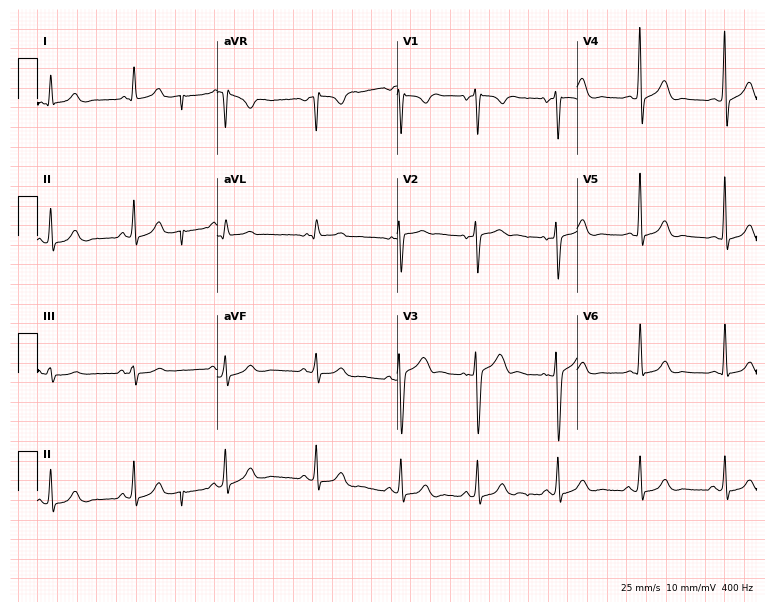
Electrocardiogram (7.3-second recording at 400 Hz), a 31-year-old woman. Of the six screened findings (first-degree AV block, right bundle branch block (RBBB), left bundle branch block (LBBB), sinus bradycardia, atrial fibrillation (AF), sinus tachycardia), none is recorded.